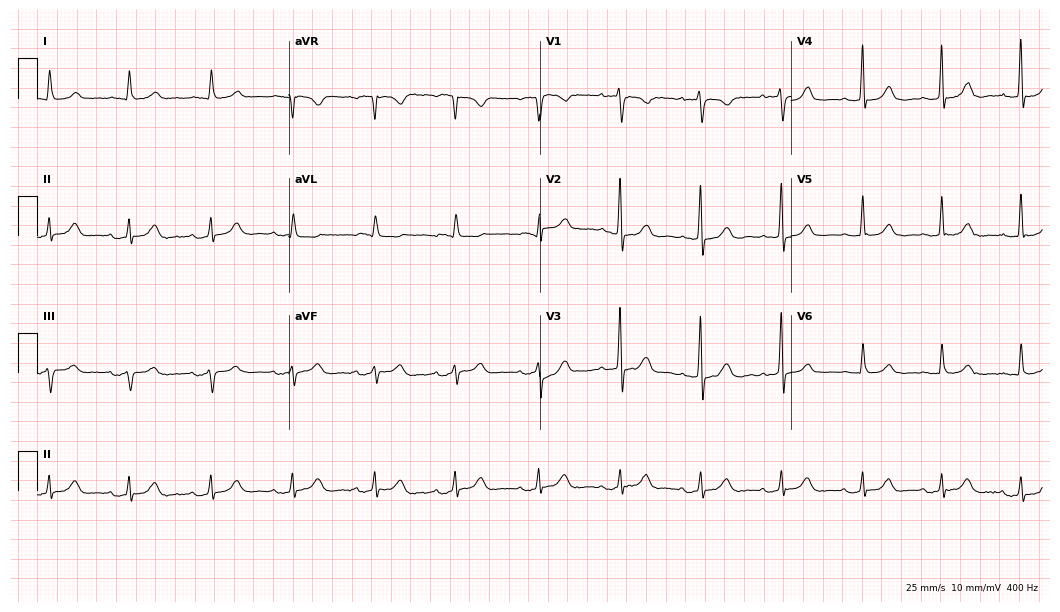
12-lead ECG from a female patient, 75 years old (10.2-second recording at 400 Hz). No first-degree AV block, right bundle branch block, left bundle branch block, sinus bradycardia, atrial fibrillation or sinus tachycardia recorded for this tracing.